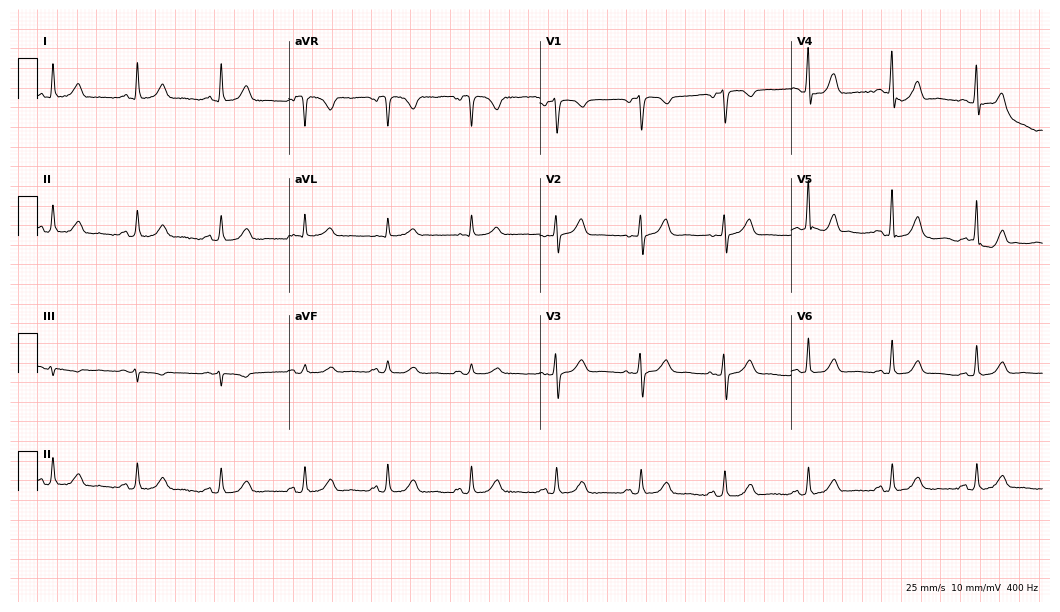
Standard 12-lead ECG recorded from a woman, 66 years old (10.2-second recording at 400 Hz). Read as a normal ECG.